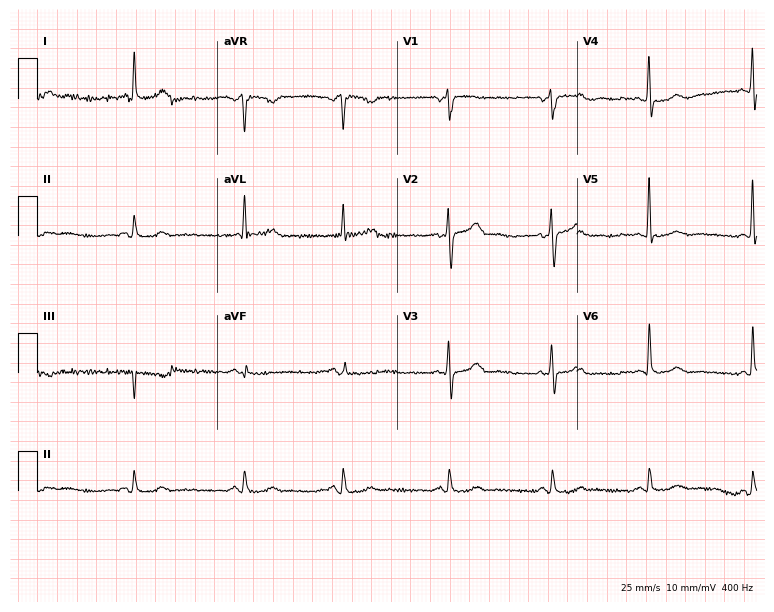
Electrocardiogram (7.3-second recording at 400 Hz), a male, 69 years old. Overall reading on record: normal ECG.